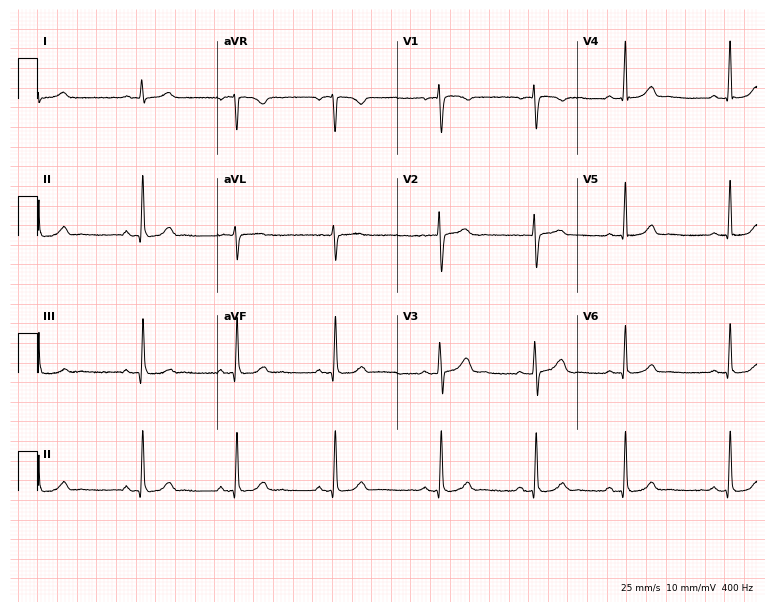
Resting 12-lead electrocardiogram (7.3-second recording at 400 Hz). Patient: a female, 23 years old. Read as a normal ECG.